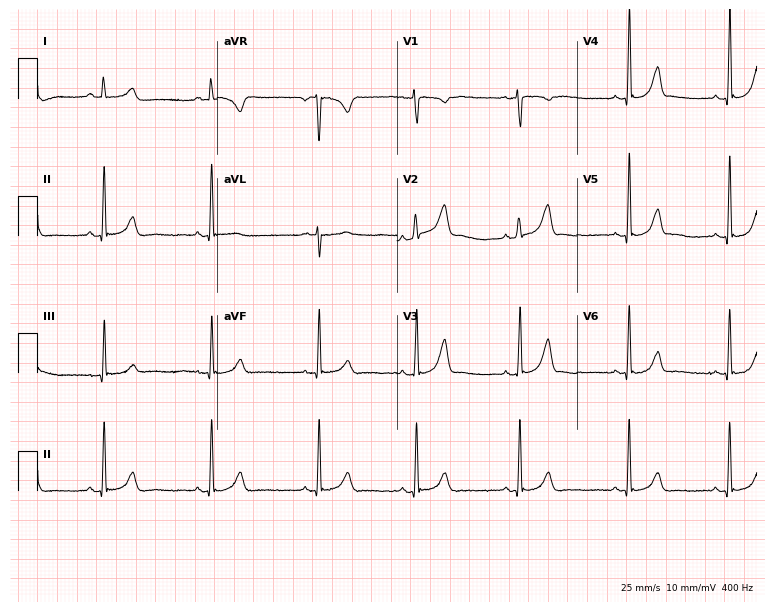
Standard 12-lead ECG recorded from a 22-year-old female patient. Read as a normal ECG.